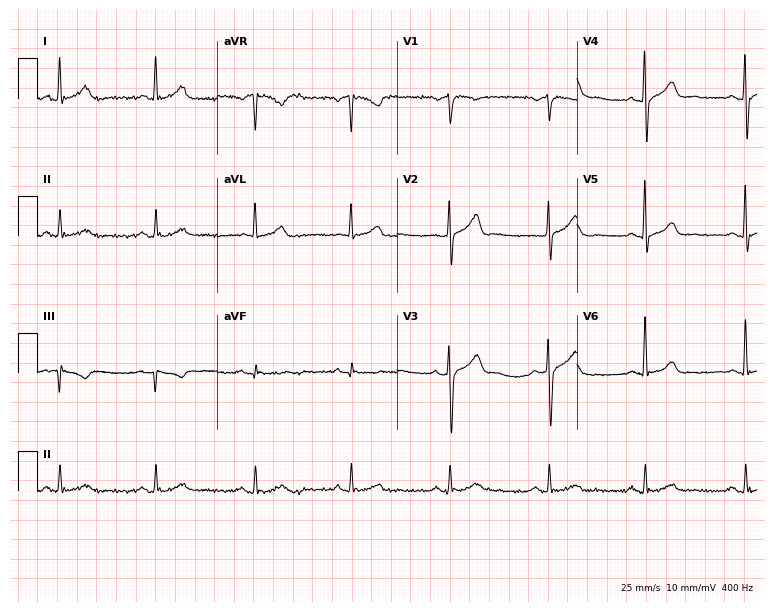
12-lead ECG from a 58-year-old male. Screened for six findings — first-degree AV block, right bundle branch block, left bundle branch block, sinus bradycardia, atrial fibrillation, sinus tachycardia — none is recorded.